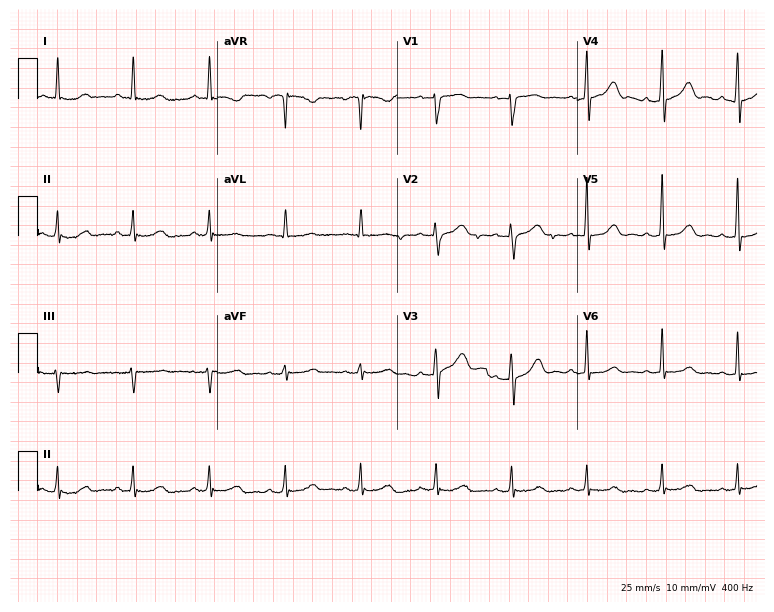
Standard 12-lead ECG recorded from a 58-year-old female patient. Read as a normal ECG.